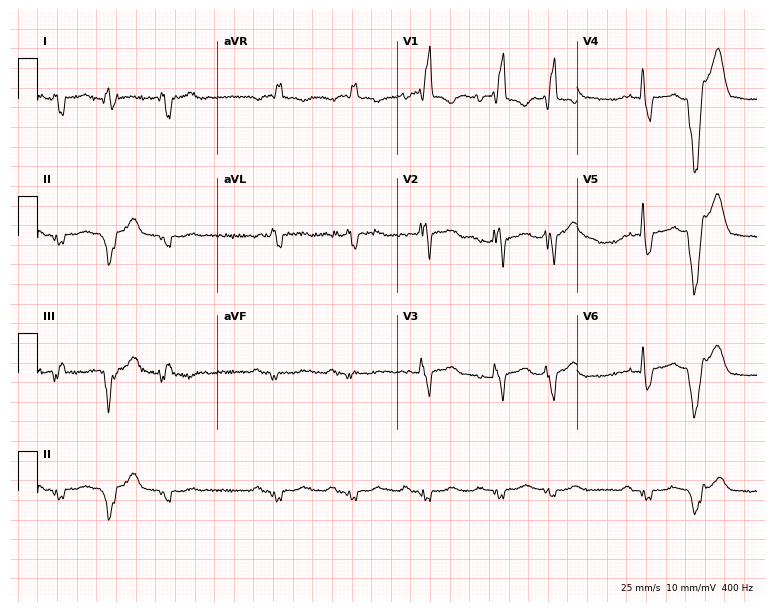
12-lead ECG from a 66-year-old male. Findings include right bundle branch block.